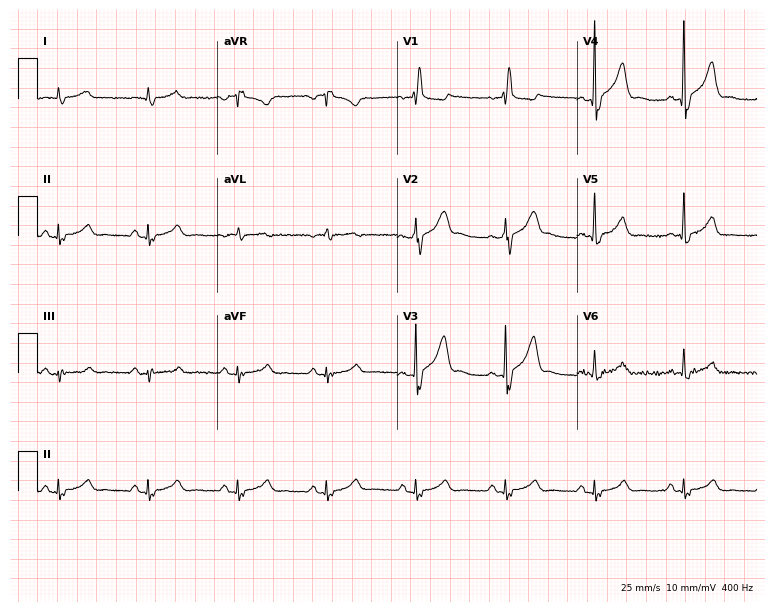
Electrocardiogram, a 62-year-old male. Of the six screened findings (first-degree AV block, right bundle branch block, left bundle branch block, sinus bradycardia, atrial fibrillation, sinus tachycardia), none is recorded. Findings outside these six are not listed.